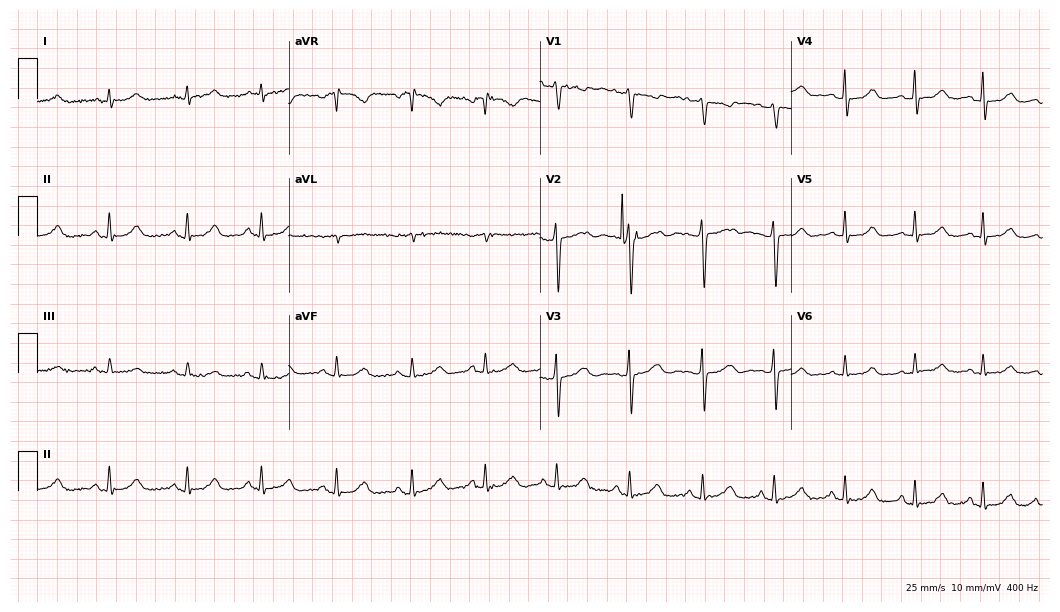
12-lead ECG from a 63-year-old woman (10.2-second recording at 400 Hz). Recorded interpretation: within normal limits.